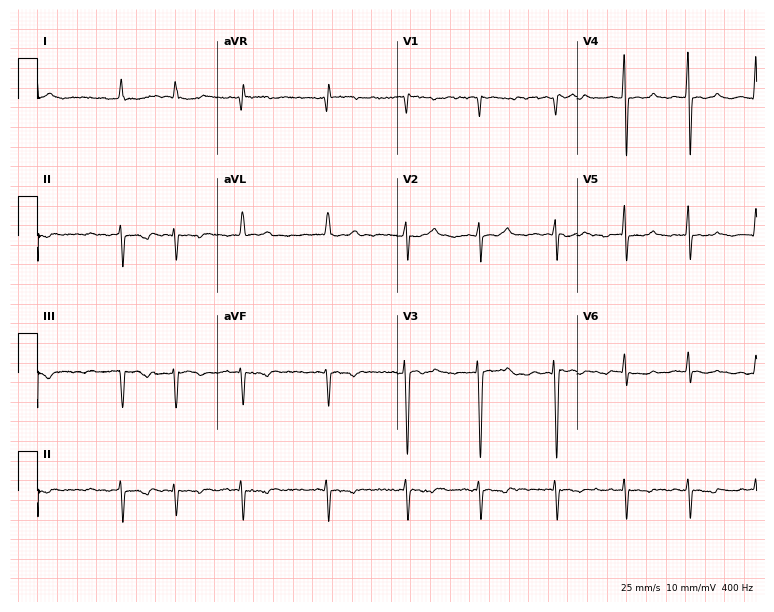
Resting 12-lead electrocardiogram (7.3-second recording at 400 Hz). Patient: a female, 62 years old. The tracing shows atrial fibrillation.